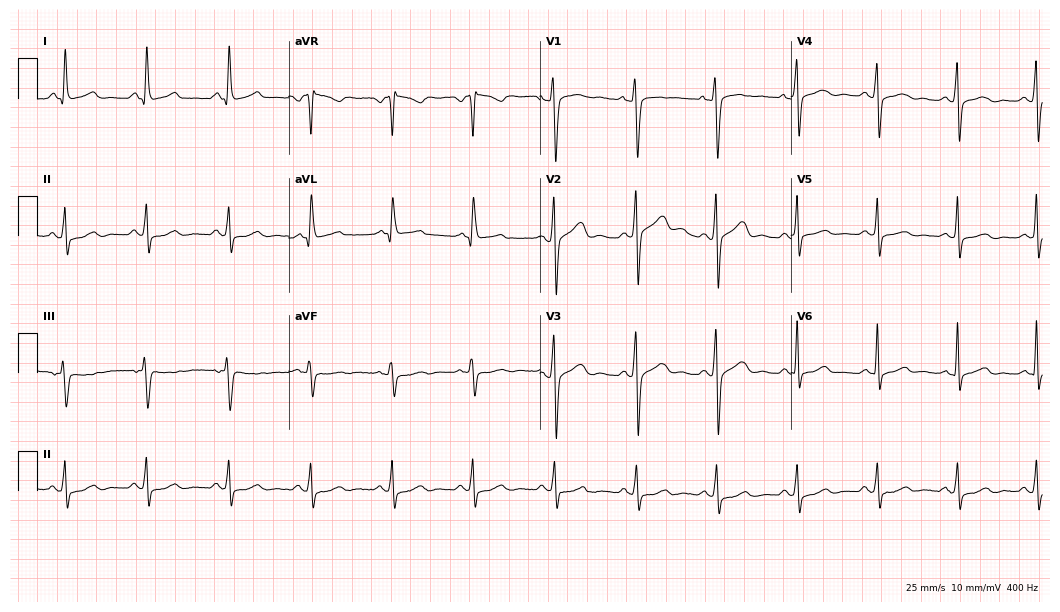
ECG — a 44-year-old woman. Screened for six findings — first-degree AV block, right bundle branch block, left bundle branch block, sinus bradycardia, atrial fibrillation, sinus tachycardia — none is recorded. Findings outside these six are not listed.